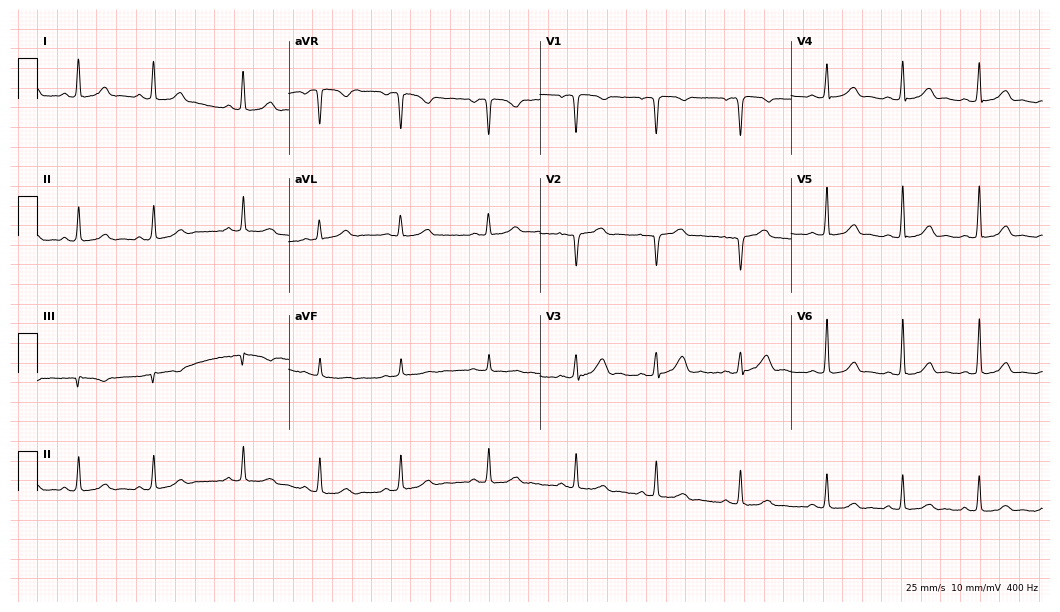
12-lead ECG from a female patient, 32 years old. Labelled as a normal ECG.